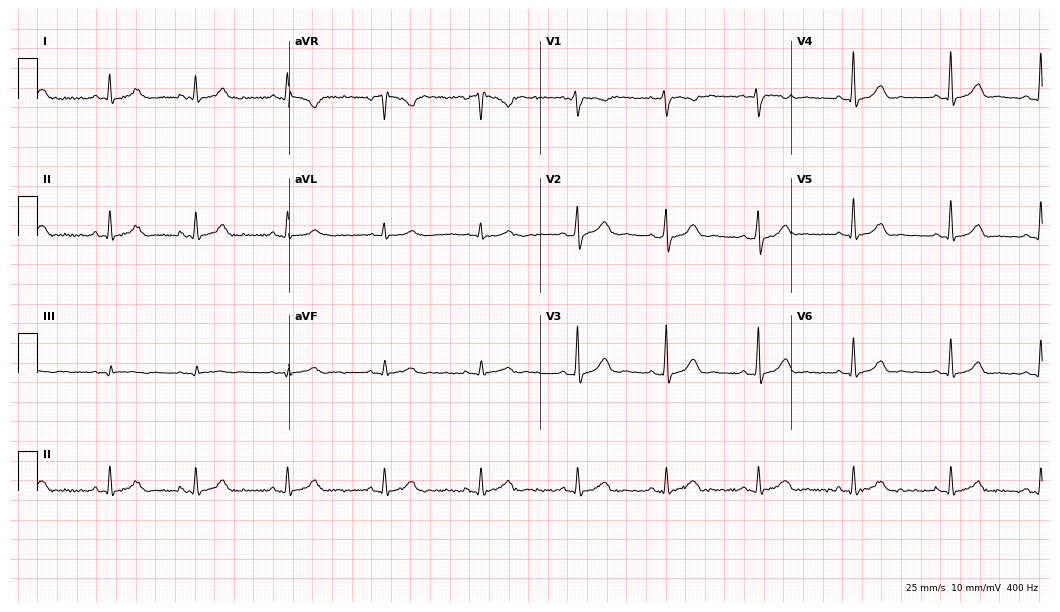
ECG — a 38-year-old man. Labelled as a normal ECG.